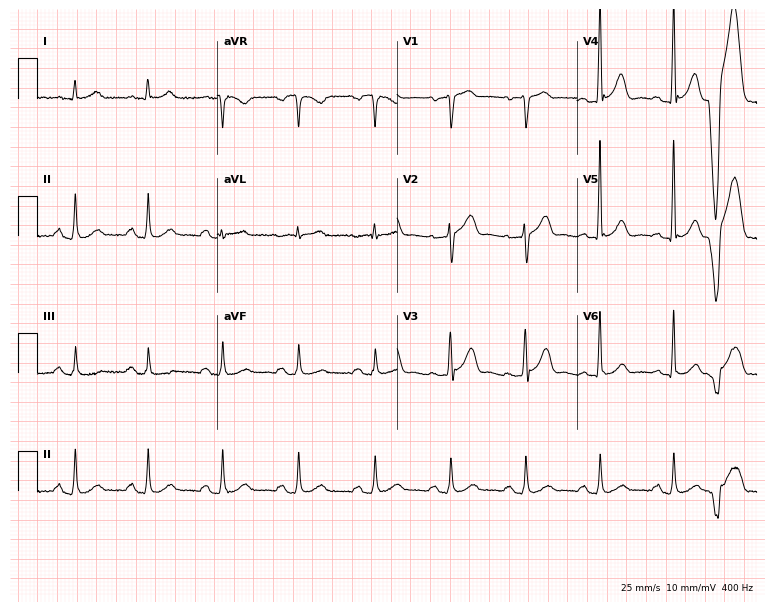
ECG (7.3-second recording at 400 Hz) — a male, 54 years old. Screened for six findings — first-degree AV block, right bundle branch block, left bundle branch block, sinus bradycardia, atrial fibrillation, sinus tachycardia — none is recorded. Findings outside these six are not listed.